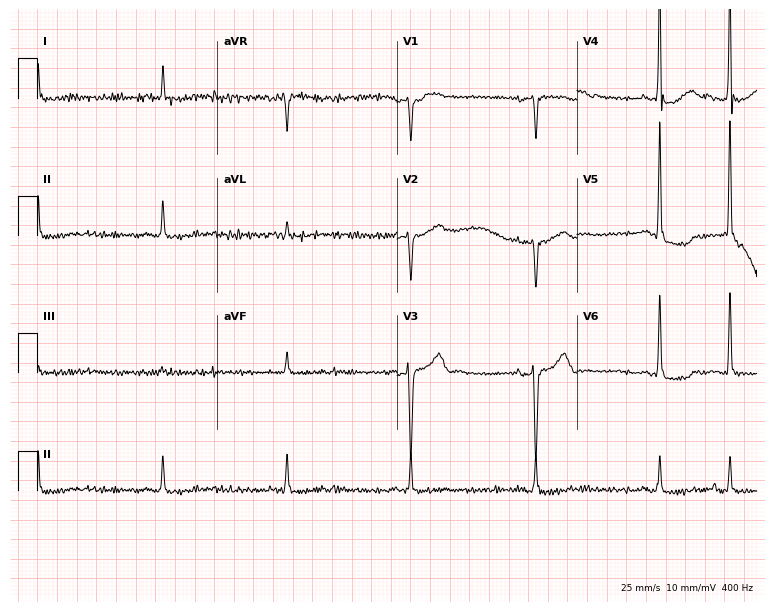
12-lead ECG from a man, 80 years old. Screened for six findings — first-degree AV block, right bundle branch block, left bundle branch block, sinus bradycardia, atrial fibrillation, sinus tachycardia — none is recorded.